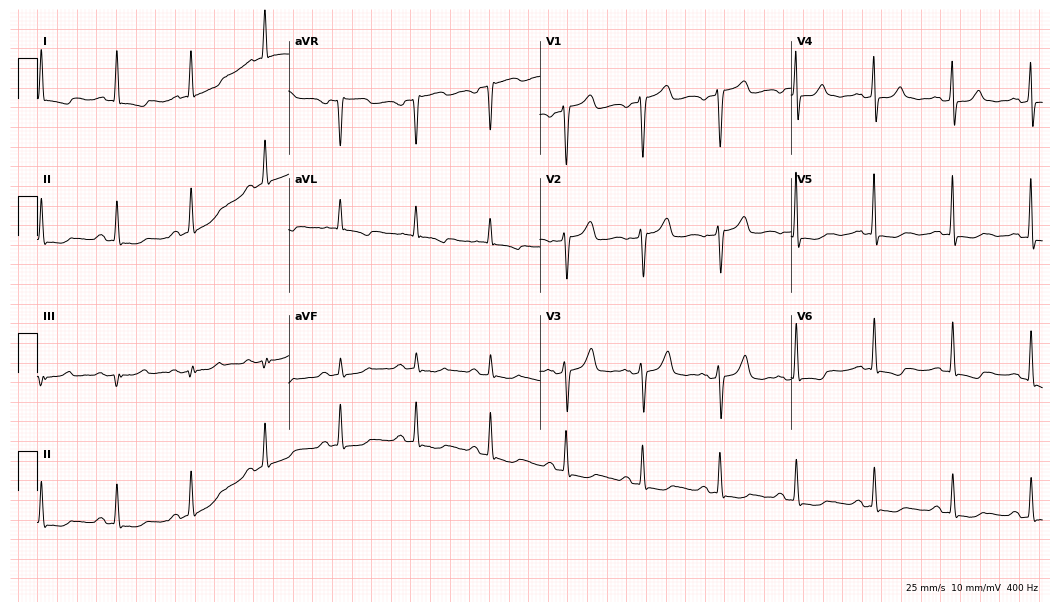
Resting 12-lead electrocardiogram. Patient: a 67-year-old woman. None of these six findings is recorded: first-degree AV block, right bundle branch block, left bundle branch block, sinus bradycardia, atrial fibrillation, sinus tachycardia. Only these six findings were labelled.